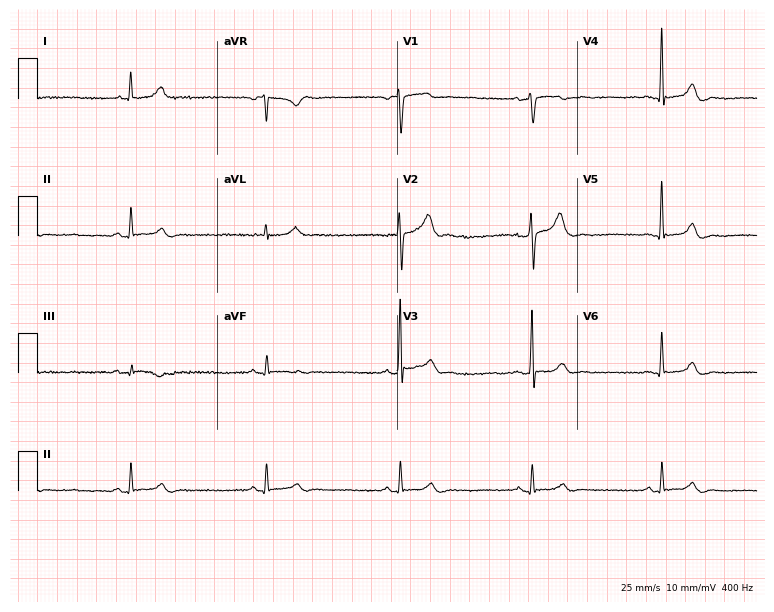
12-lead ECG (7.3-second recording at 400 Hz) from a male, 50 years old. Findings include sinus bradycardia (a sinus rate of 50 beats per minute or less).